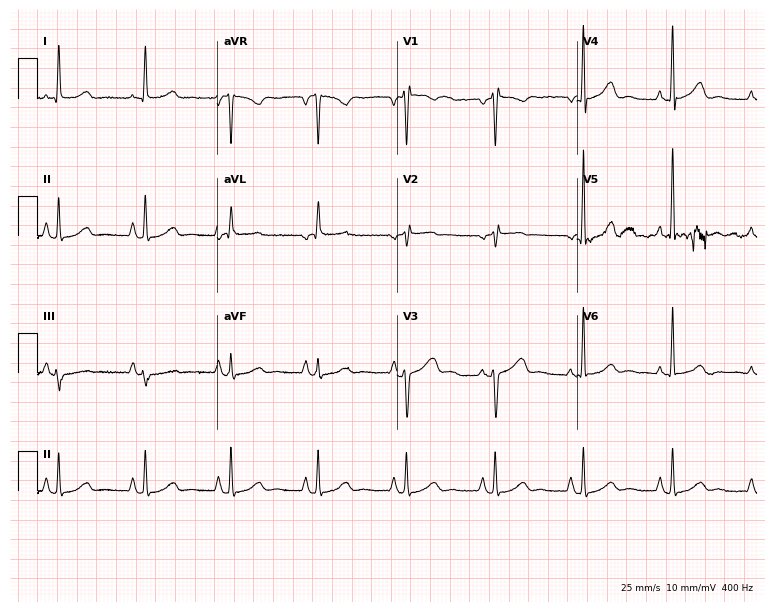
12-lead ECG from a woman, 50 years old. No first-degree AV block, right bundle branch block (RBBB), left bundle branch block (LBBB), sinus bradycardia, atrial fibrillation (AF) or sinus tachycardia recorded for this tracing. Other findings, if any, are not listed.